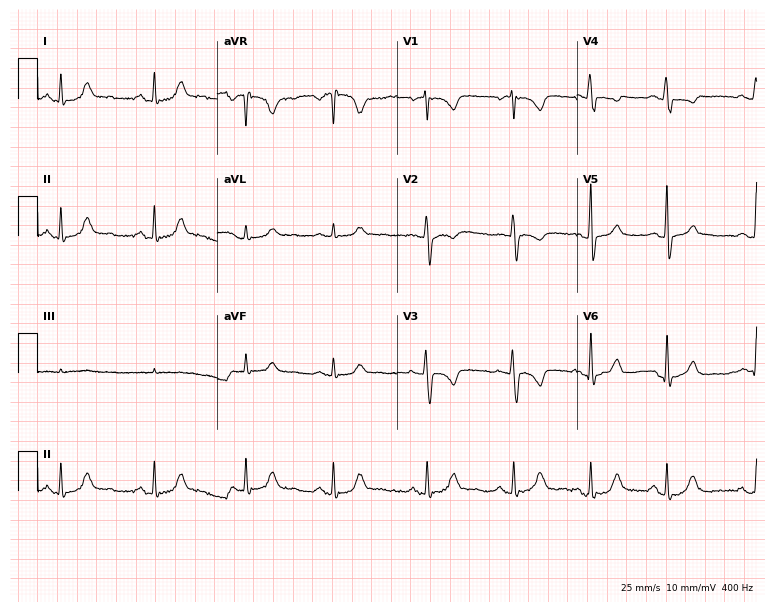
Electrocardiogram, a 26-year-old female patient. Of the six screened findings (first-degree AV block, right bundle branch block, left bundle branch block, sinus bradycardia, atrial fibrillation, sinus tachycardia), none is recorded.